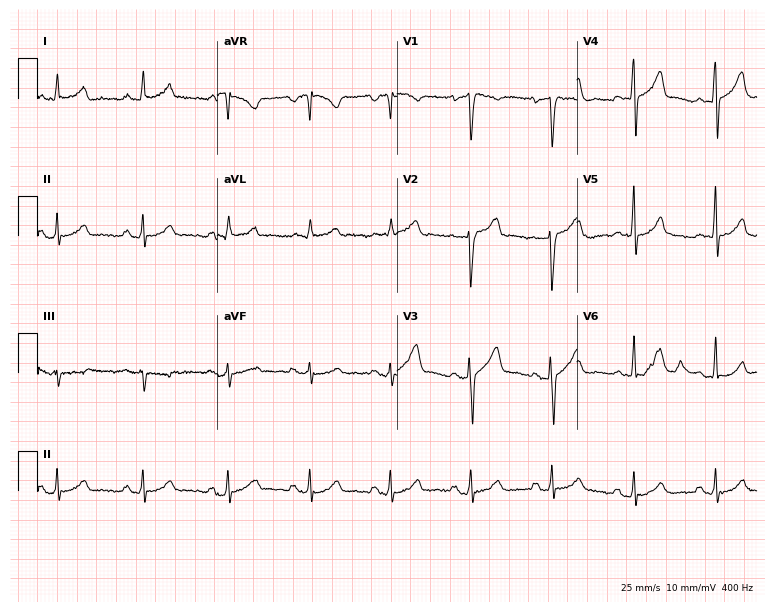
ECG — a 41-year-old female. Screened for six findings — first-degree AV block, right bundle branch block, left bundle branch block, sinus bradycardia, atrial fibrillation, sinus tachycardia — none is recorded. Findings outside these six are not listed.